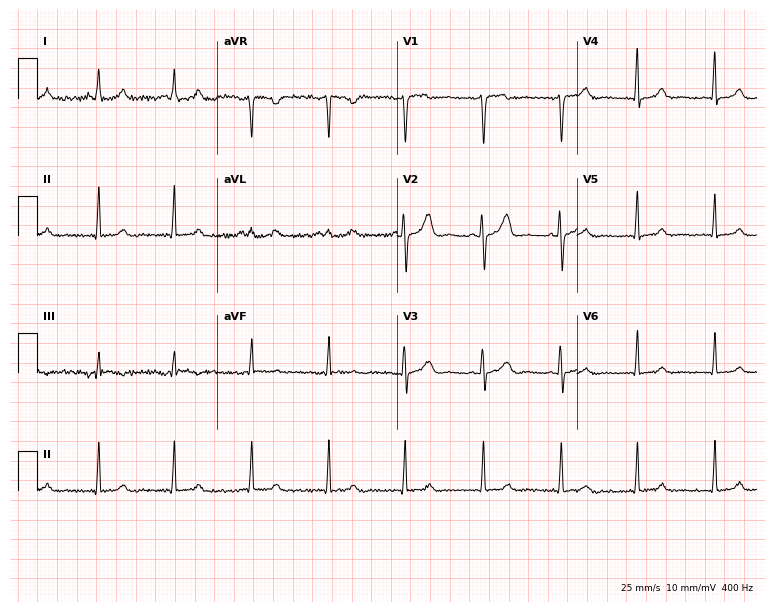
12-lead ECG (7.3-second recording at 400 Hz) from a 45-year-old female. Screened for six findings — first-degree AV block, right bundle branch block (RBBB), left bundle branch block (LBBB), sinus bradycardia, atrial fibrillation (AF), sinus tachycardia — none is recorded.